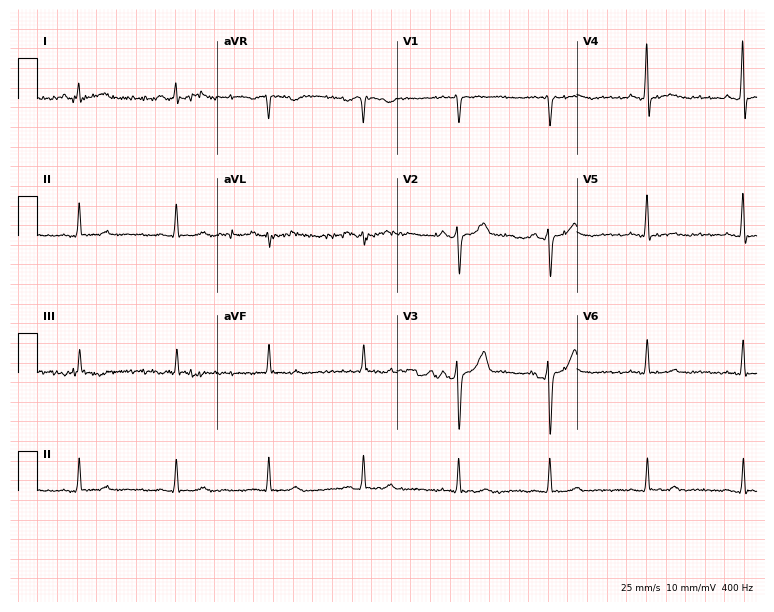
12-lead ECG from a male, 34 years old. Recorded interpretation: within normal limits.